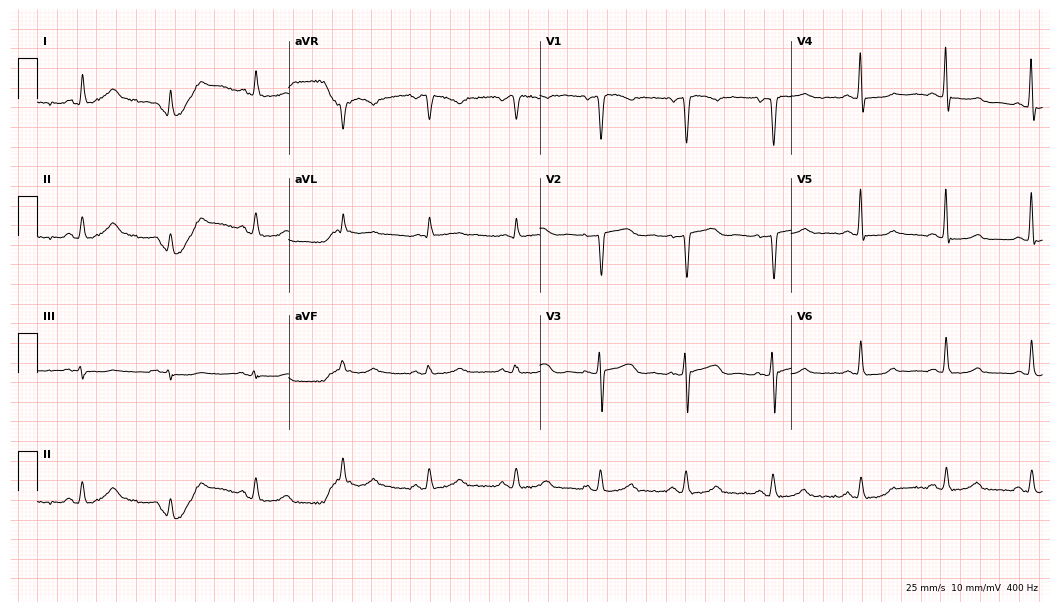
Electrocardiogram, a 50-year-old female. Of the six screened findings (first-degree AV block, right bundle branch block, left bundle branch block, sinus bradycardia, atrial fibrillation, sinus tachycardia), none is recorded.